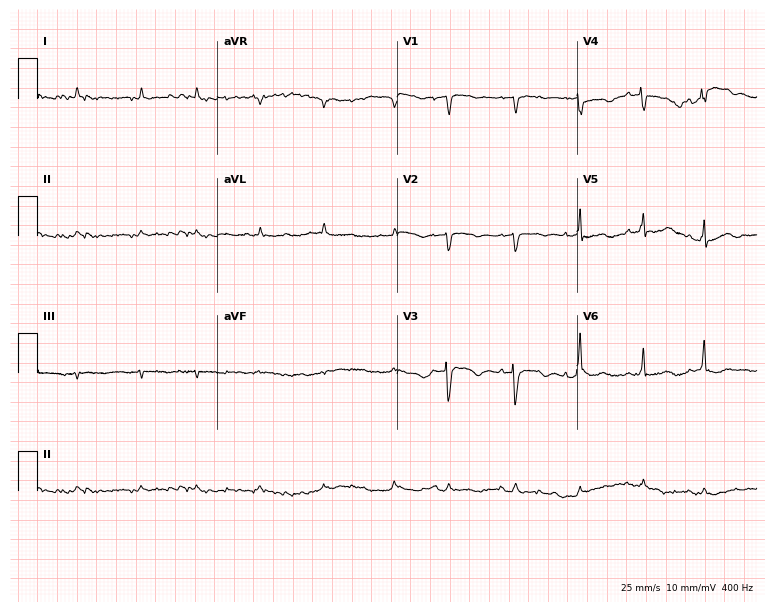
ECG — a 71-year-old female patient. Screened for six findings — first-degree AV block, right bundle branch block (RBBB), left bundle branch block (LBBB), sinus bradycardia, atrial fibrillation (AF), sinus tachycardia — none is recorded.